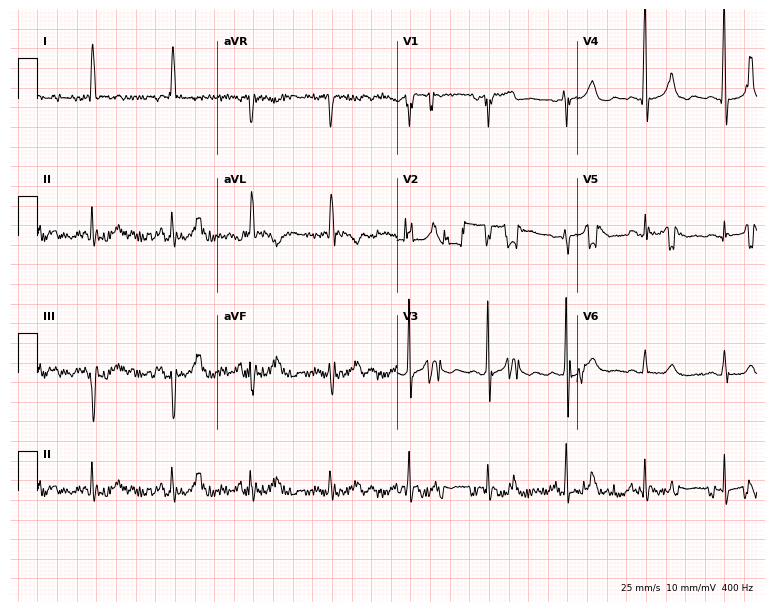
12-lead ECG from a 55-year-old man. No first-degree AV block, right bundle branch block (RBBB), left bundle branch block (LBBB), sinus bradycardia, atrial fibrillation (AF) or sinus tachycardia recorded for this tracing.